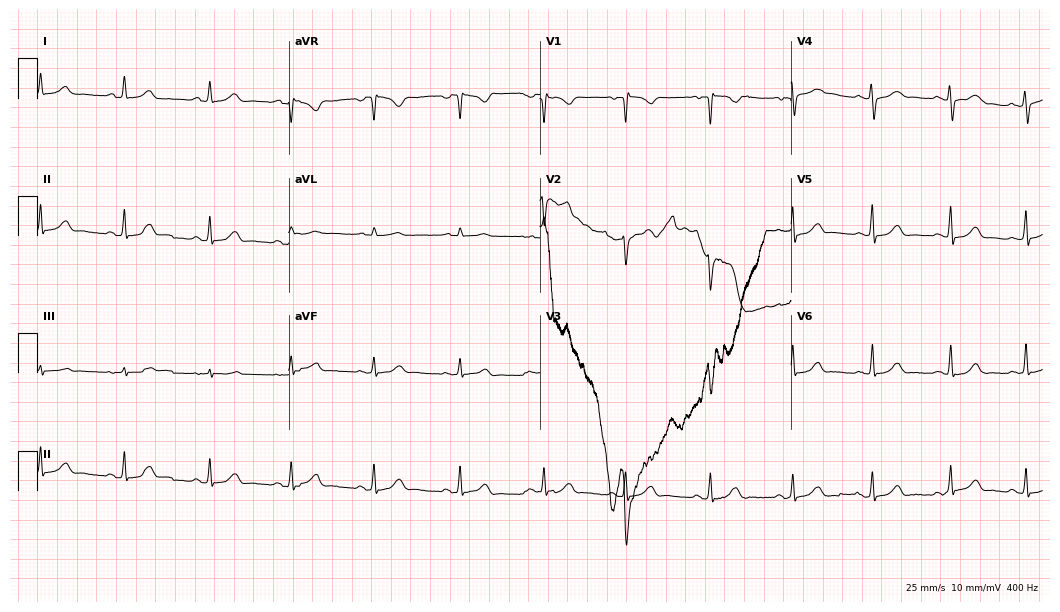
Electrocardiogram (10.2-second recording at 400 Hz), a female, 20 years old. Of the six screened findings (first-degree AV block, right bundle branch block (RBBB), left bundle branch block (LBBB), sinus bradycardia, atrial fibrillation (AF), sinus tachycardia), none is recorded.